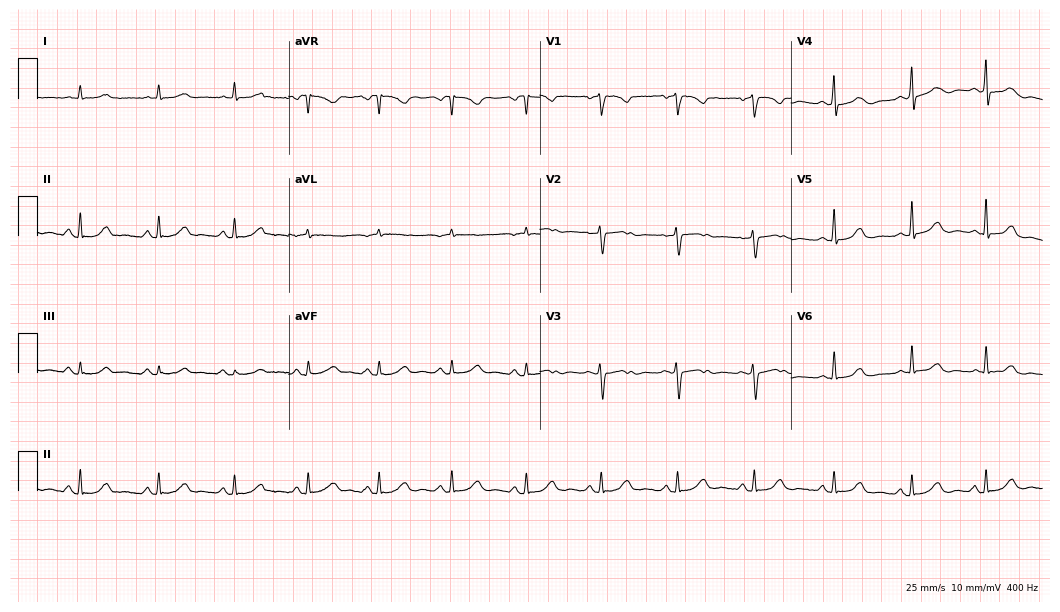
Electrocardiogram, a female patient, 55 years old. Of the six screened findings (first-degree AV block, right bundle branch block, left bundle branch block, sinus bradycardia, atrial fibrillation, sinus tachycardia), none is recorded. Only these six findings were labelled.